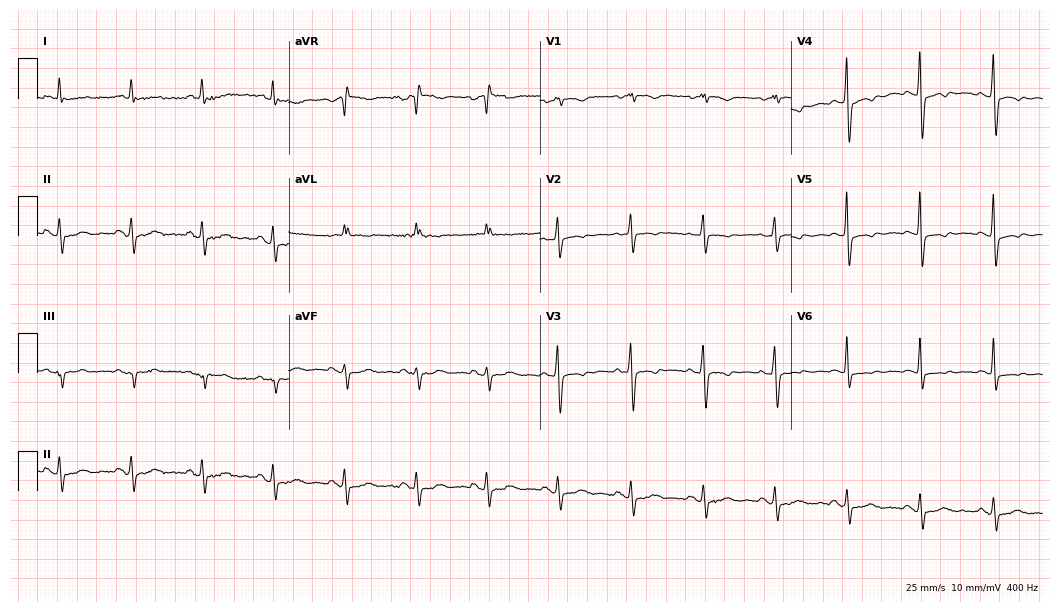
ECG — a female patient, 74 years old. Screened for six findings — first-degree AV block, right bundle branch block, left bundle branch block, sinus bradycardia, atrial fibrillation, sinus tachycardia — none is recorded. Only these six findings were labelled.